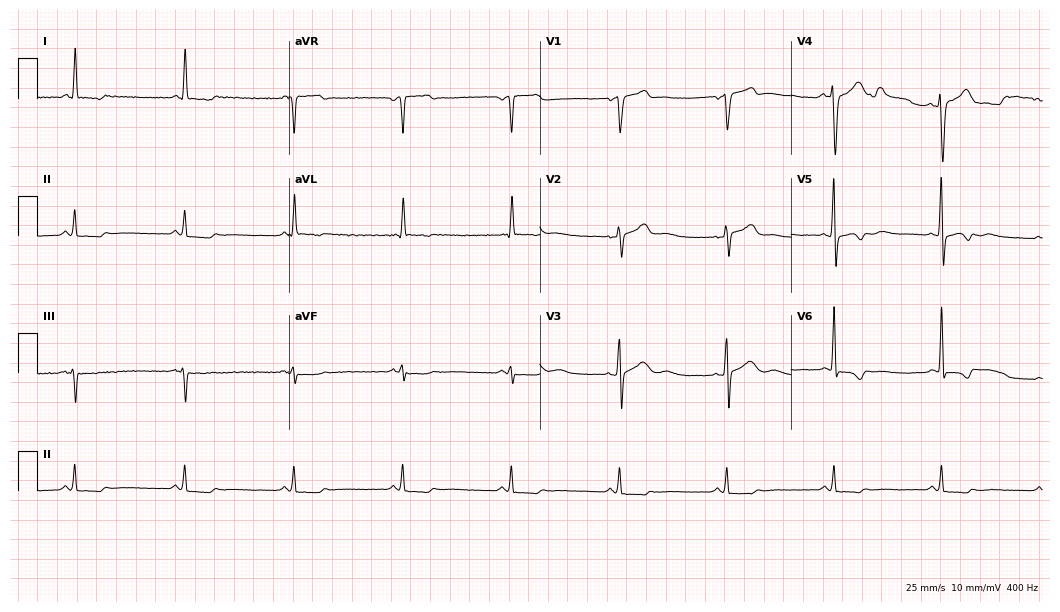
ECG — a 70-year-old man. Screened for six findings — first-degree AV block, right bundle branch block (RBBB), left bundle branch block (LBBB), sinus bradycardia, atrial fibrillation (AF), sinus tachycardia — none is recorded. Other findings, if any, are not listed.